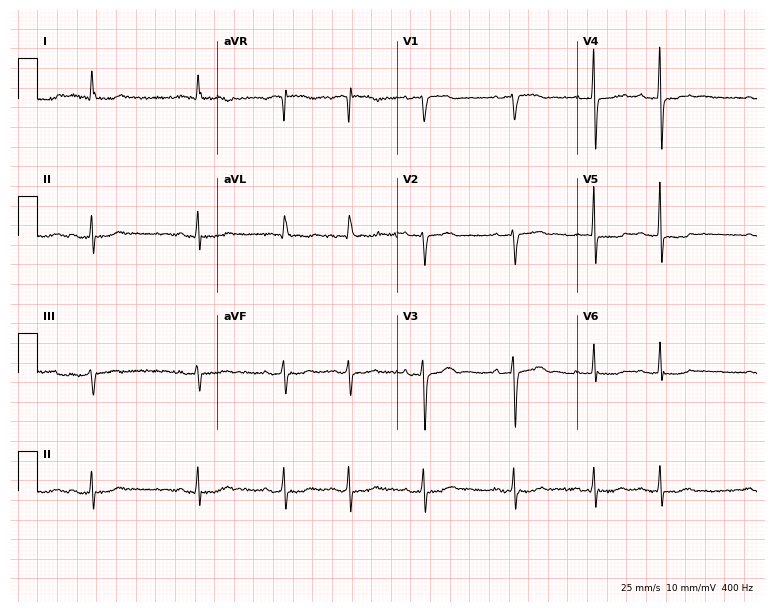
Resting 12-lead electrocardiogram. Patient: an 85-year-old woman. None of these six findings is recorded: first-degree AV block, right bundle branch block (RBBB), left bundle branch block (LBBB), sinus bradycardia, atrial fibrillation (AF), sinus tachycardia. Other findings, if any, are not listed.